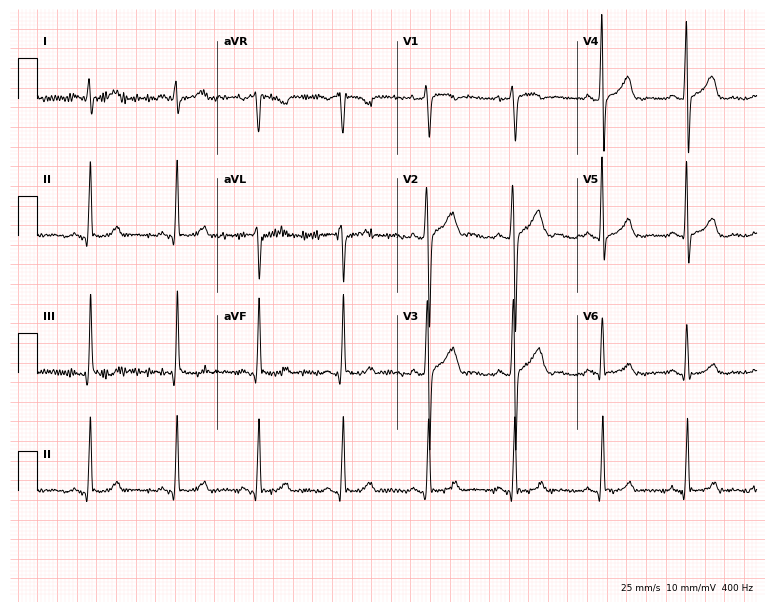
12-lead ECG from a 28-year-old male. Screened for six findings — first-degree AV block, right bundle branch block, left bundle branch block, sinus bradycardia, atrial fibrillation, sinus tachycardia — none is recorded.